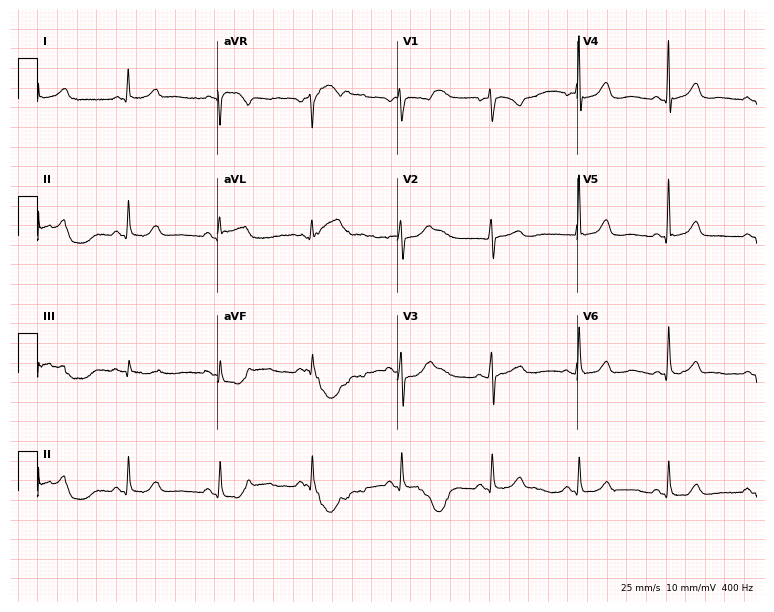
Electrocardiogram (7.3-second recording at 400 Hz), a female patient, 75 years old. Of the six screened findings (first-degree AV block, right bundle branch block, left bundle branch block, sinus bradycardia, atrial fibrillation, sinus tachycardia), none is recorded. Findings outside these six are not listed.